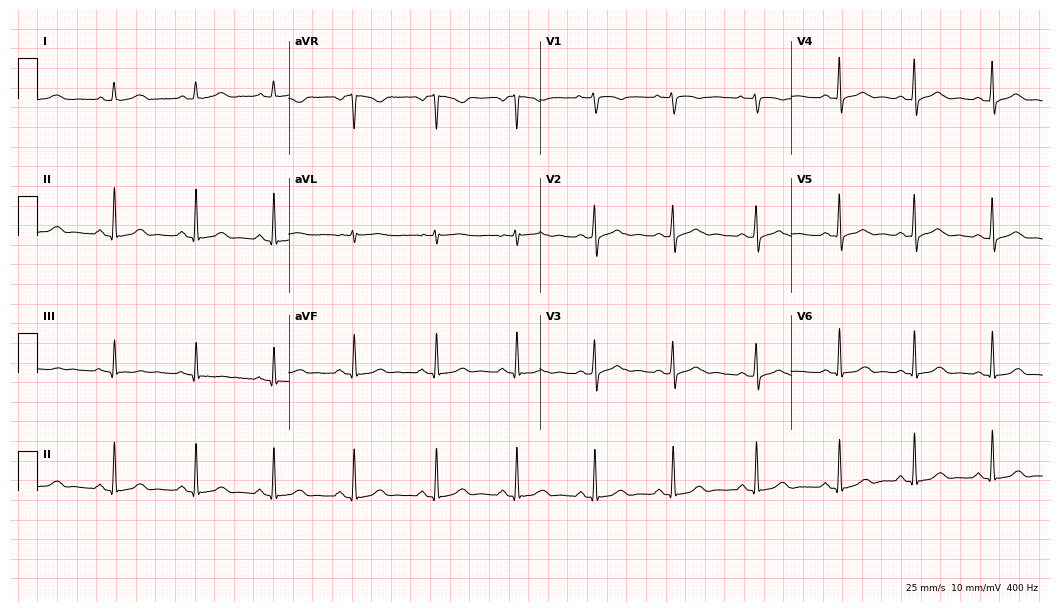
12-lead ECG from a female patient, 30 years old. Screened for six findings — first-degree AV block, right bundle branch block (RBBB), left bundle branch block (LBBB), sinus bradycardia, atrial fibrillation (AF), sinus tachycardia — none is recorded.